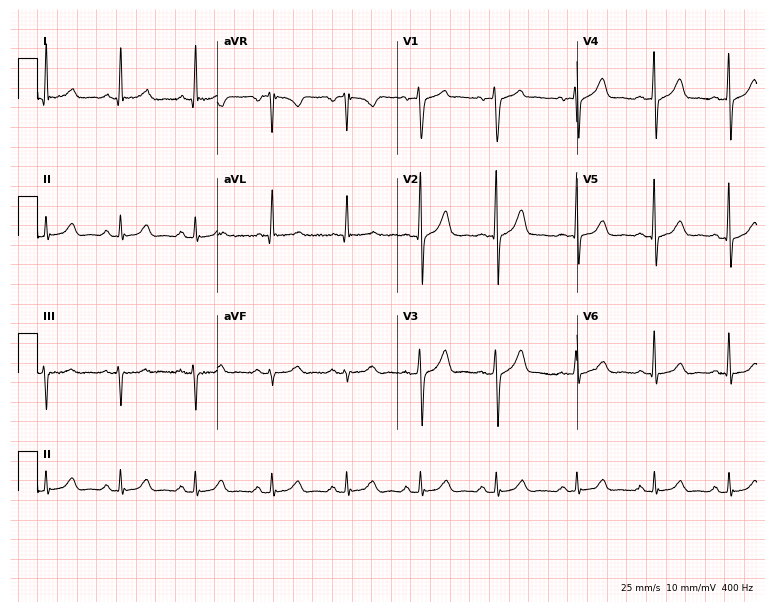
ECG — a 47-year-old man. Labelled as a normal ECG.